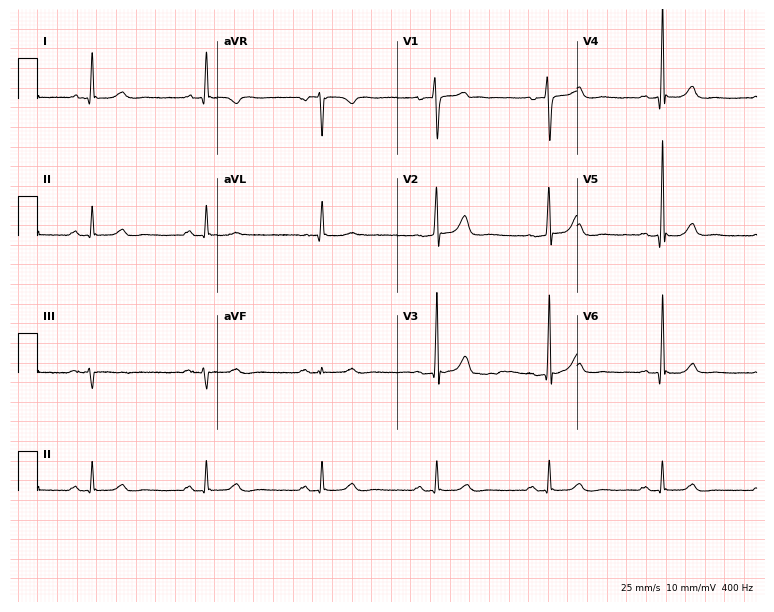
Standard 12-lead ECG recorded from a 65-year-old male patient (7.3-second recording at 400 Hz). None of these six findings is recorded: first-degree AV block, right bundle branch block, left bundle branch block, sinus bradycardia, atrial fibrillation, sinus tachycardia.